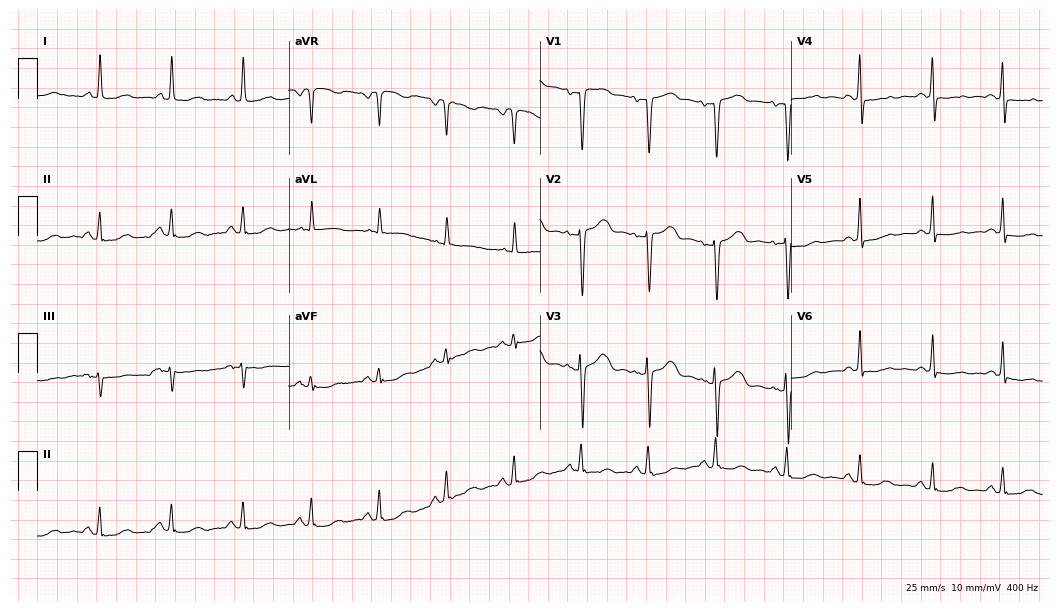
12-lead ECG from a 66-year-old female. No first-degree AV block, right bundle branch block, left bundle branch block, sinus bradycardia, atrial fibrillation or sinus tachycardia recorded for this tracing. Only these six findings were labelled.